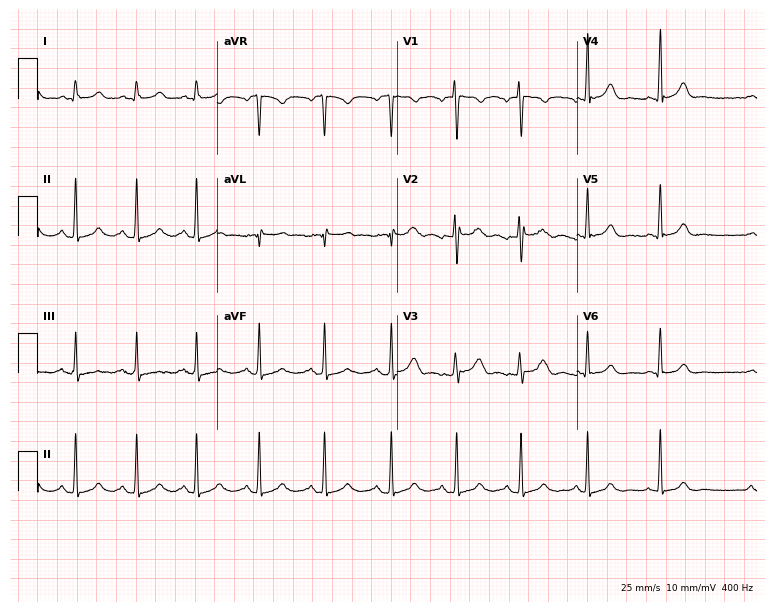
Standard 12-lead ECG recorded from a woman, 34 years old. Read as a normal ECG.